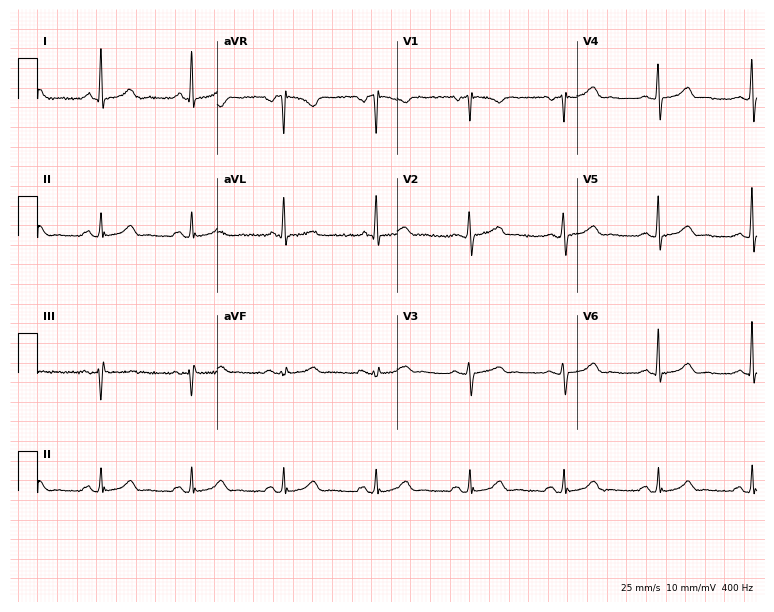
12-lead ECG from a female patient, 61 years old. Recorded interpretation: within normal limits.